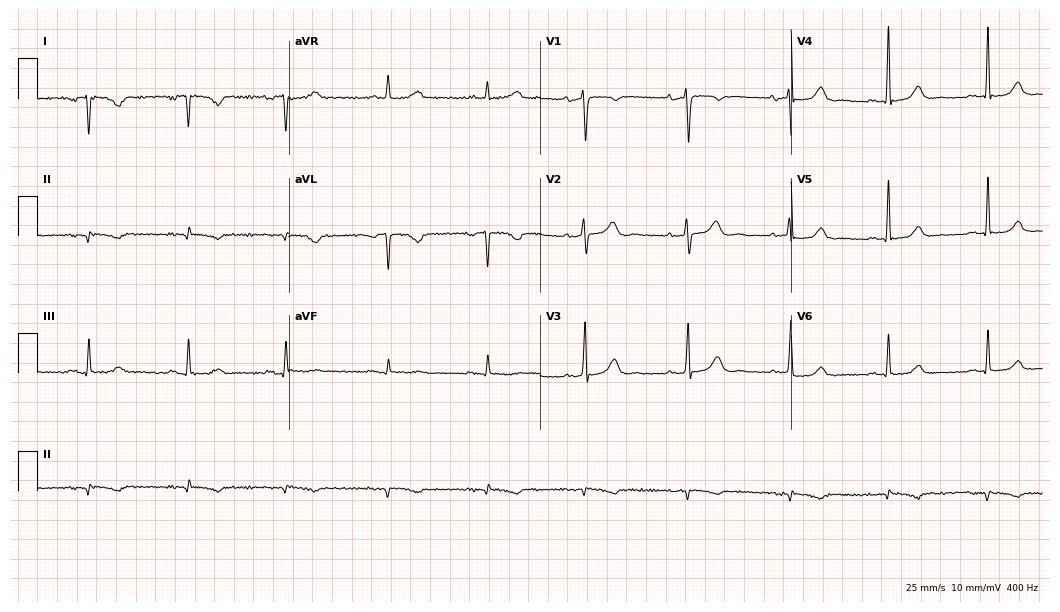
Resting 12-lead electrocardiogram. Patient: a 60-year-old female. None of these six findings is recorded: first-degree AV block, right bundle branch block, left bundle branch block, sinus bradycardia, atrial fibrillation, sinus tachycardia. Other findings, if any, are not listed.